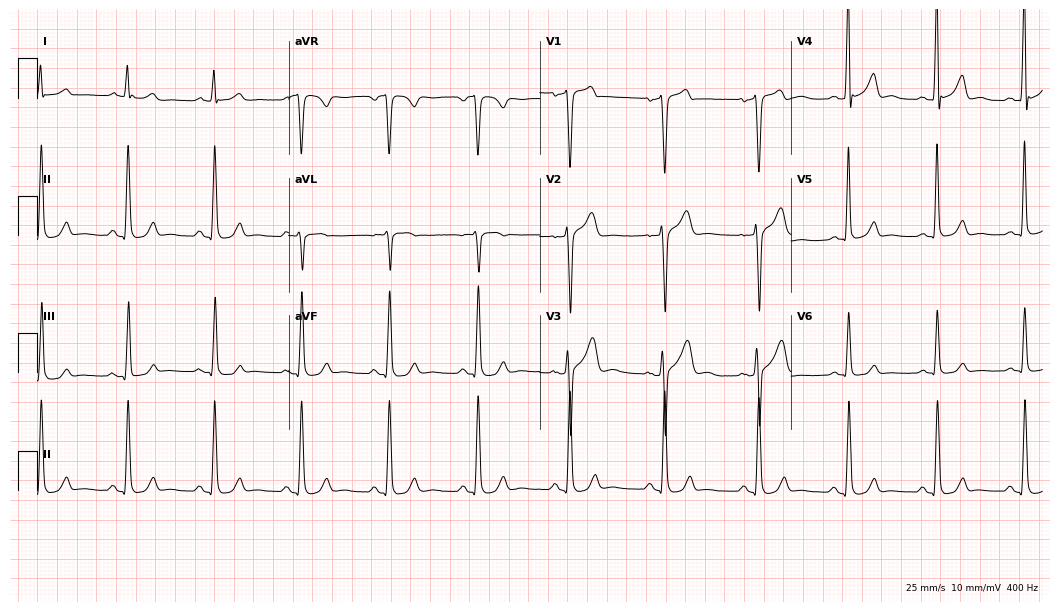
12-lead ECG (10.2-second recording at 400 Hz) from a male patient, 49 years old. Screened for six findings — first-degree AV block, right bundle branch block (RBBB), left bundle branch block (LBBB), sinus bradycardia, atrial fibrillation (AF), sinus tachycardia — none is recorded. Findings outside these six are not listed.